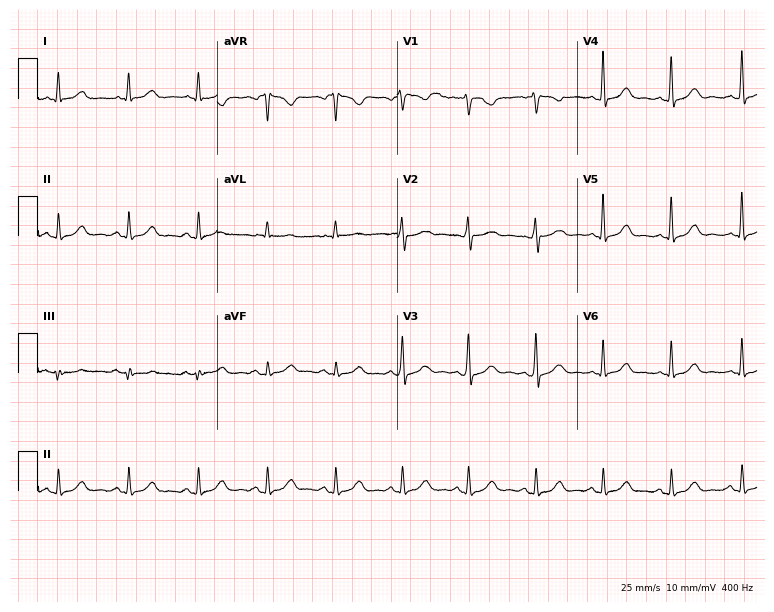
Standard 12-lead ECG recorded from a female patient, 58 years old. None of these six findings is recorded: first-degree AV block, right bundle branch block, left bundle branch block, sinus bradycardia, atrial fibrillation, sinus tachycardia.